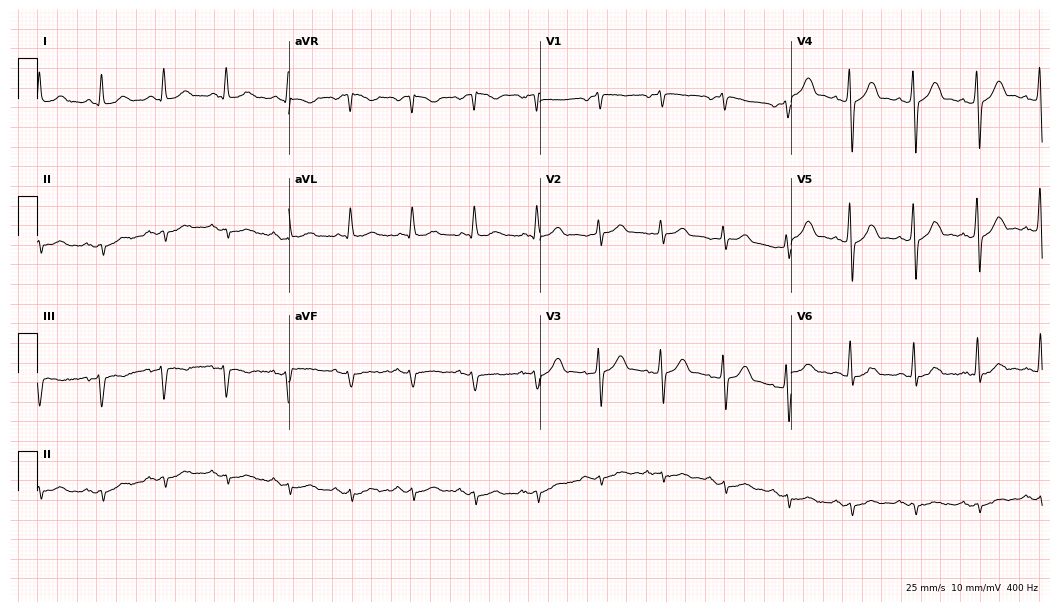
Electrocardiogram (10.2-second recording at 400 Hz), a 65-year-old man. Overall reading on record: normal ECG.